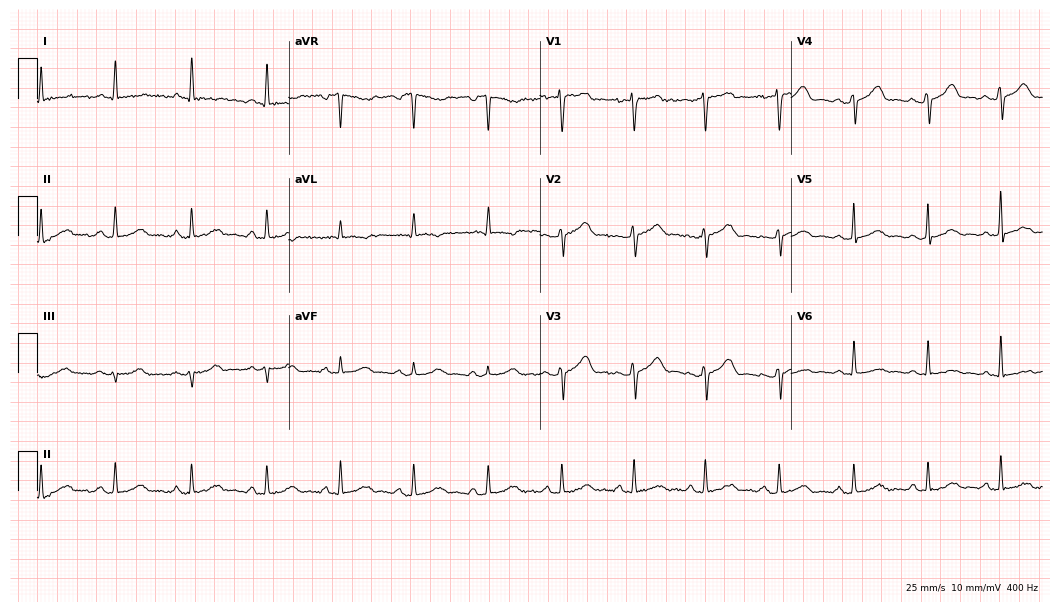
12-lead ECG from a 54-year-old female. Screened for six findings — first-degree AV block, right bundle branch block, left bundle branch block, sinus bradycardia, atrial fibrillation, sinus tachycardia — none is recorded.